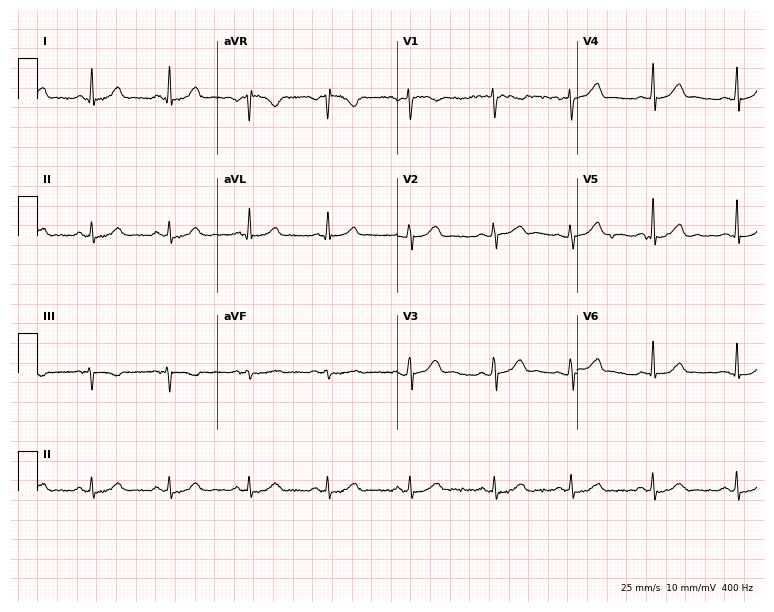
Resting 12-lead electrocardiogram. Patient: a 33-year-old female. Read as a normal ECG.